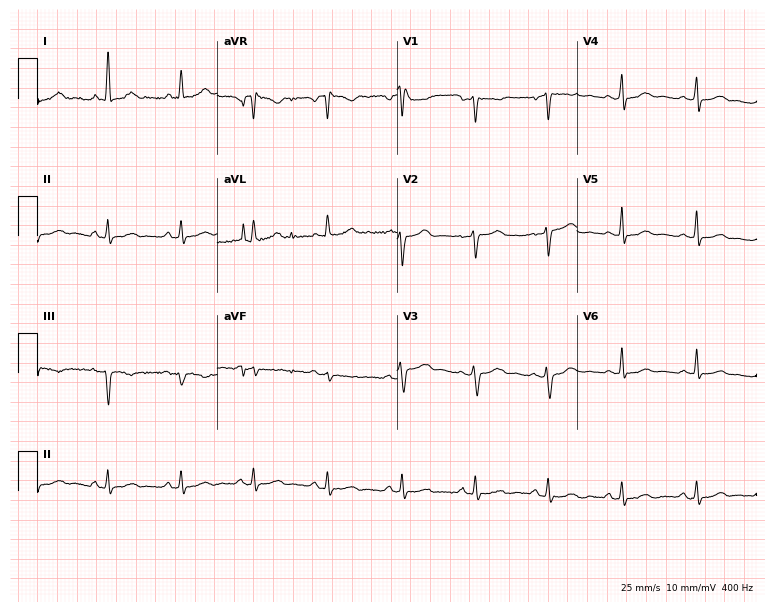
ECG — a female patient, 53 years old. Screened for six findings — first-degree AV block, right bundle branch block, left bundle branch block, sinus bradycardia, atrial fibrillation, sinus tachycardia — none is recorded.